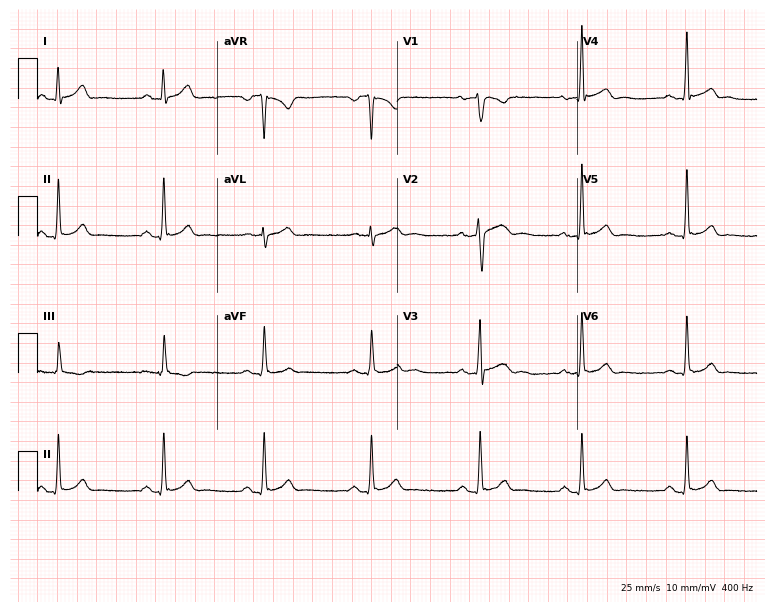
12-lead ECG from a 34-year-old man (7.3-second recording at 400 Hz). Recorded interpretation: within normal limits.